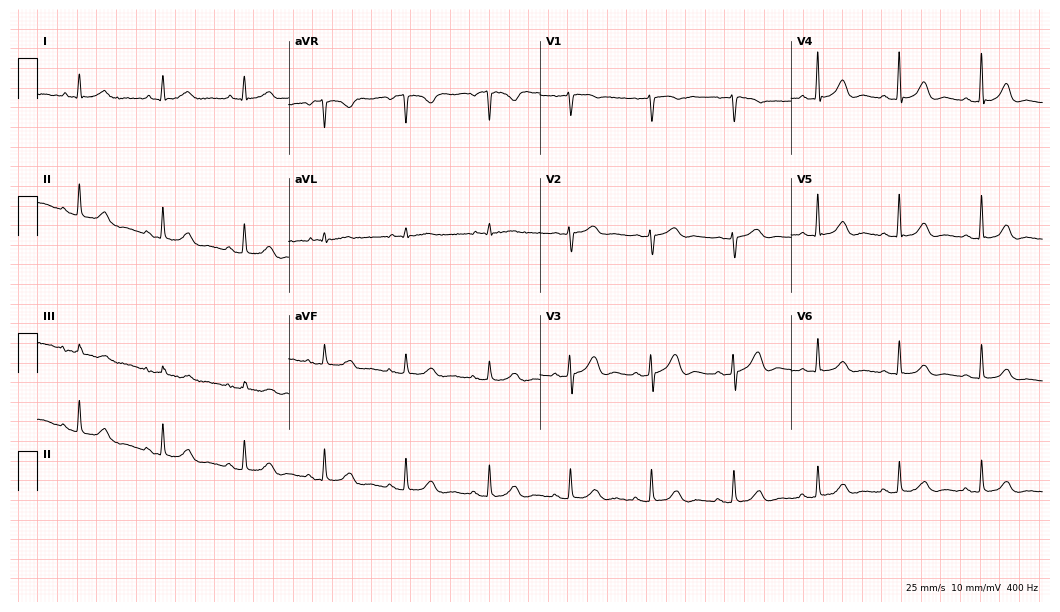
Electrocardiogram (10.2-second recording at 400 Hz), a female, 65 years old. Overall reading on record: normal ECG.